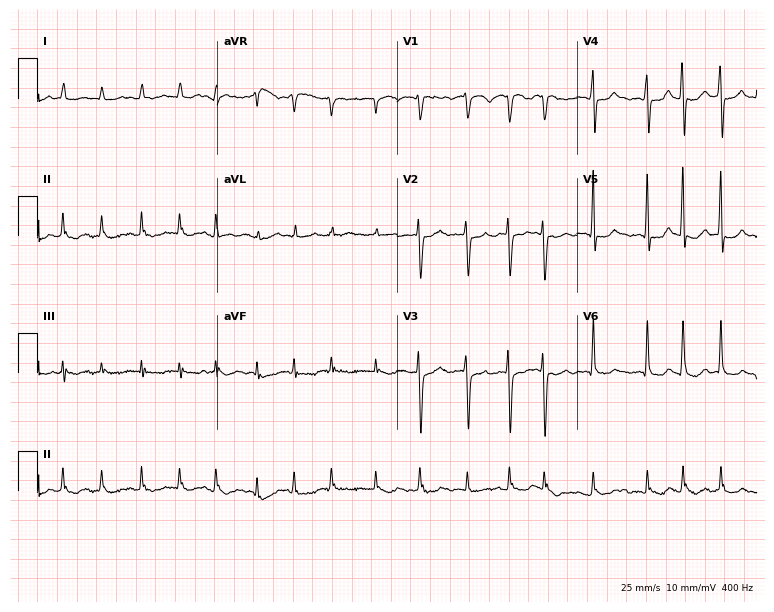
12-lead ECG from a woman, 78 years old. Findings include atrial fibrillation (AF).